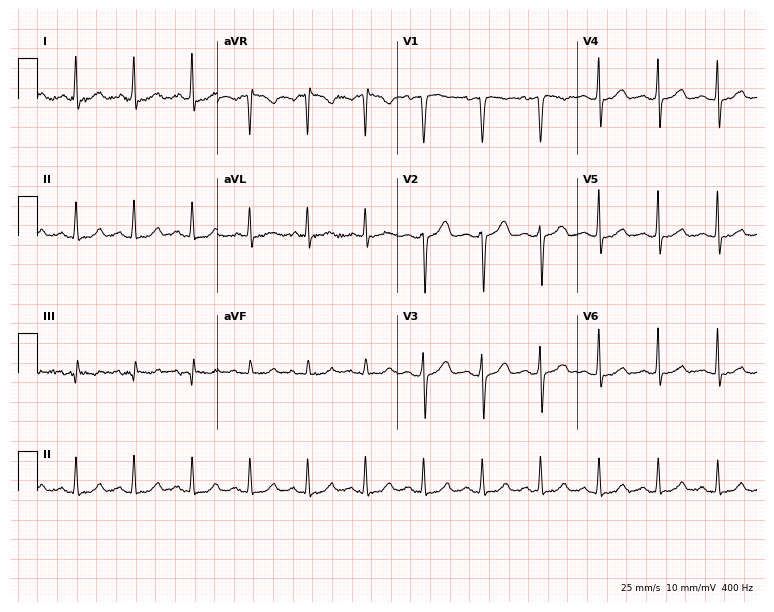
Electrocardiogram (7.3-second recording at 400 Hz), a woman, 48 years old. Interpretation includes sinus tachycardia (a sinus rate of 100 beats per minute or more).